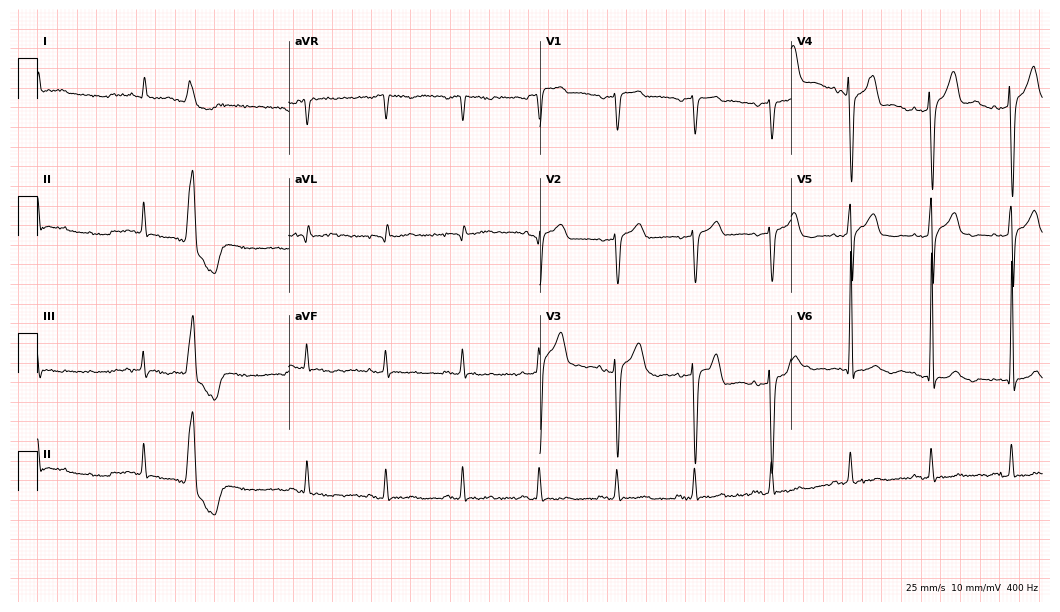
Standard 12-lead ECG recorded from a 70-year-old male (10.2-second recording at 400 Hz). None of these six findings is recorded: first-degree AV block, right bundle branch block, left bundle branch block, sinus bradycardia, atrial fibrillation, sinus tachycardia. Other findings, if any, are not listed.